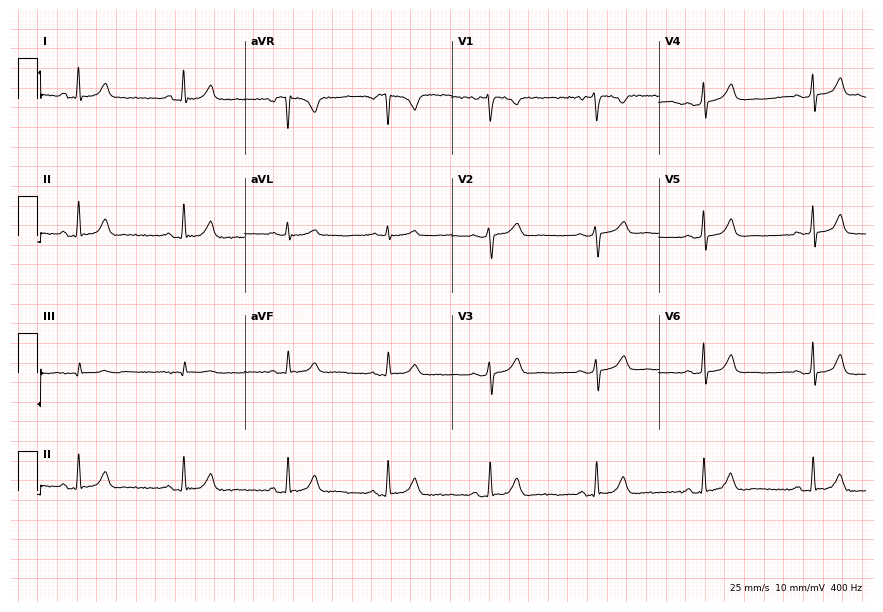
ECG — a female, 30 years old. Labelled as a normal ECG.